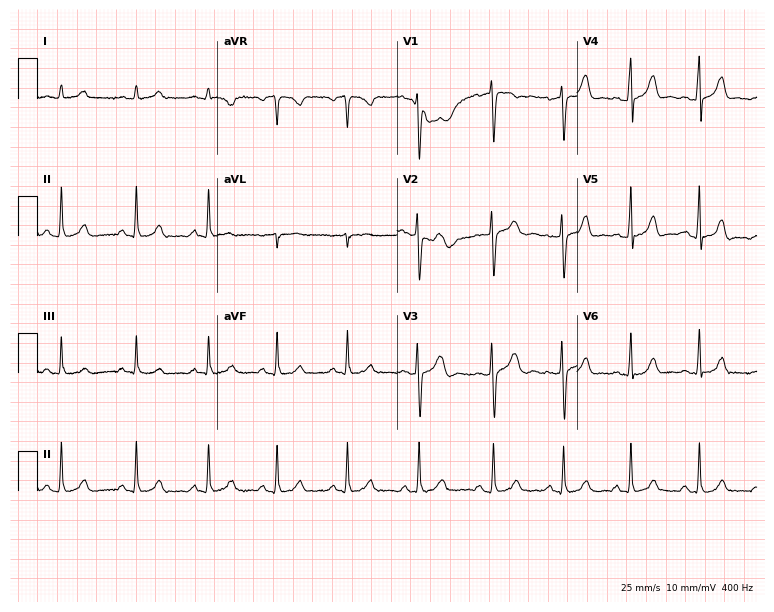
12-lead ECG from a 19-year-old female patient. Labelled as a normal ECG.